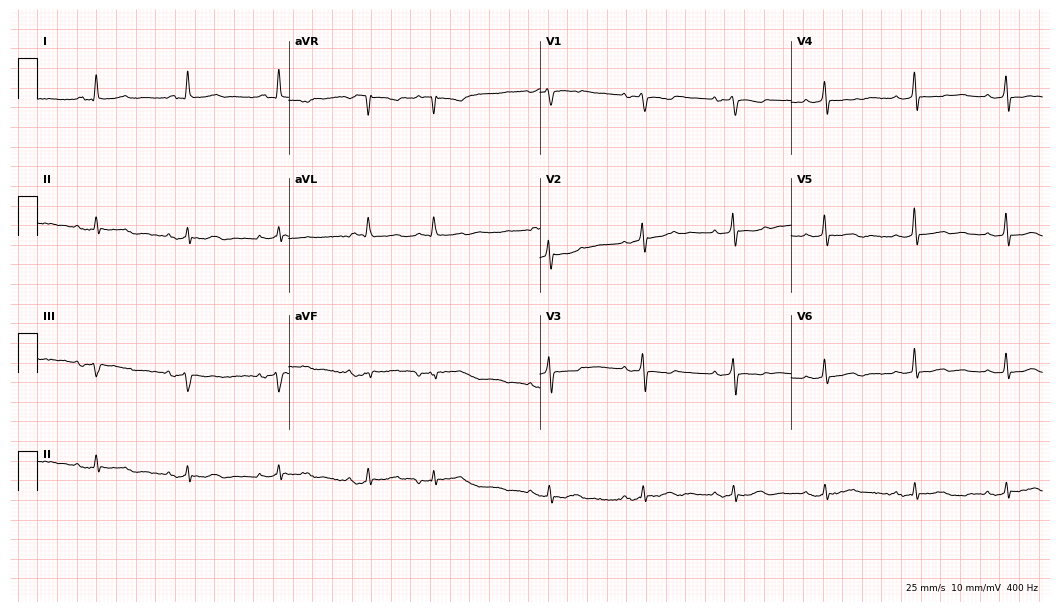
Standard 12-lead ECG recorded from a female patient, 88 years old. None of these six findings is recorded: first-degree AV block, right bundle branch block, left bundle branch block, sinus bradycardia, atrial fibrillation, sinus tachycardia. Other findings, if any, are not listed.